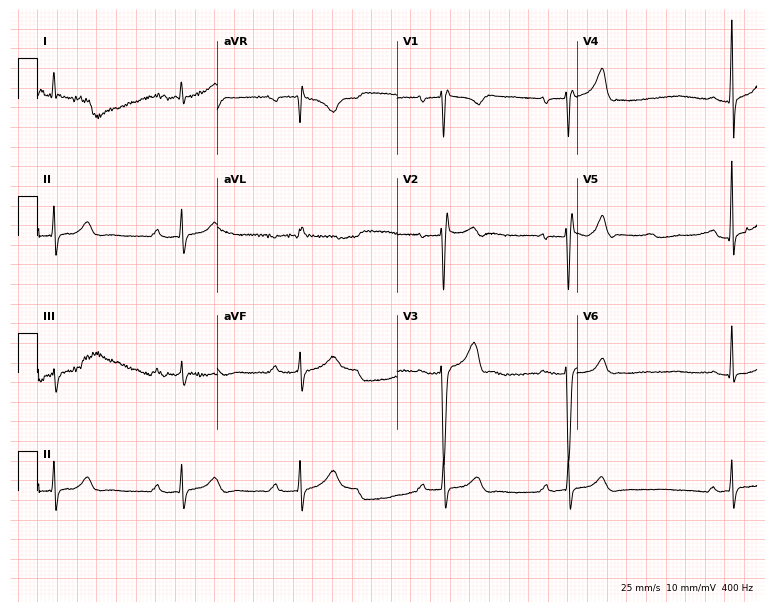
Resting 12-lead electrocardiogram. Patient: a male, 25 years old. The tracing shows first-degree AV block, right bundle branch block.